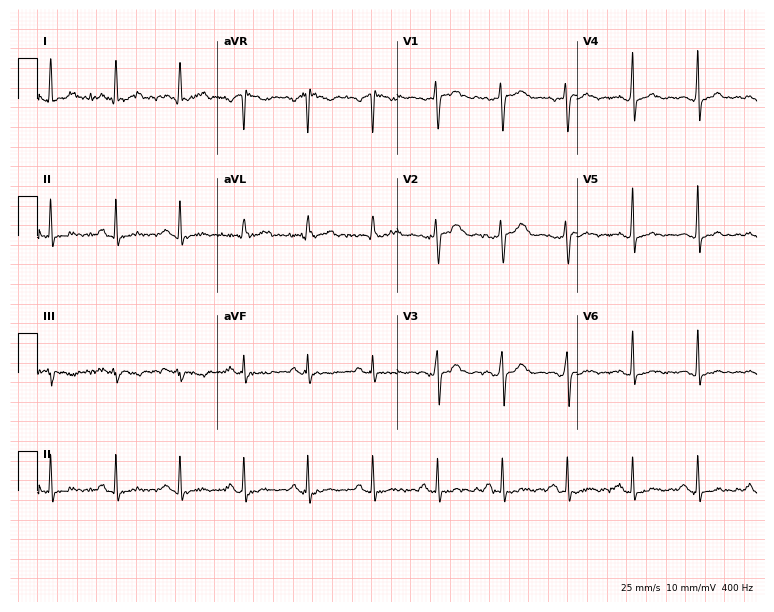
Electrocardiogram (7.3-second recording at 400 Hz), a female, 44 years old. Of the six screened findings (first-degree AV block, right bundle branch block, left bundle branch block, sinus bradycardia, atrial fibrillation, sinus tachycardia), none is recorded.